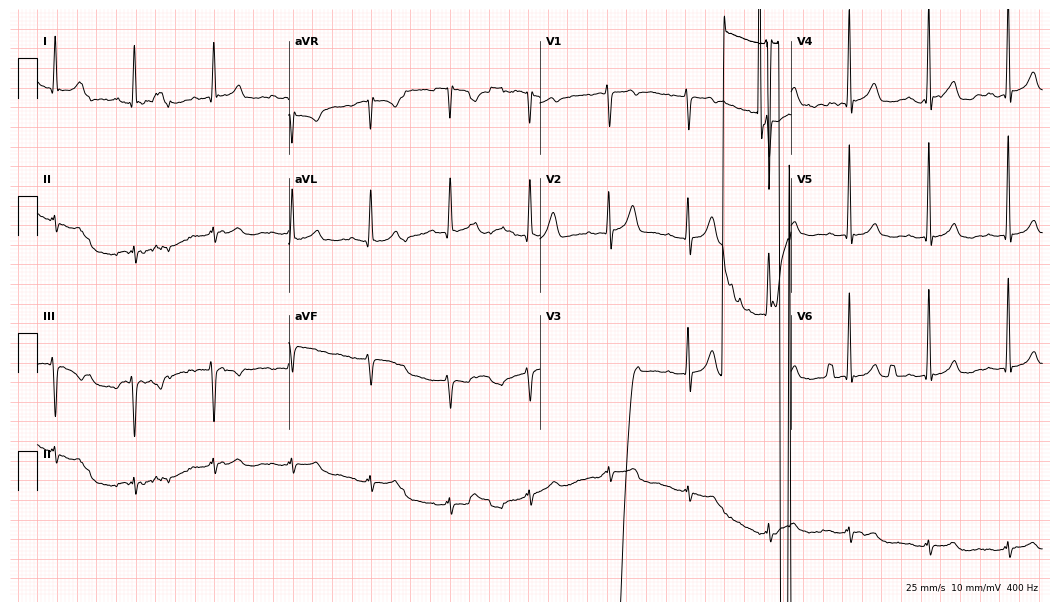
Electrocardiogram (10.2-second recording at 400 Hz), a 56-year-old male. Interpretation includes first-degree AV block.